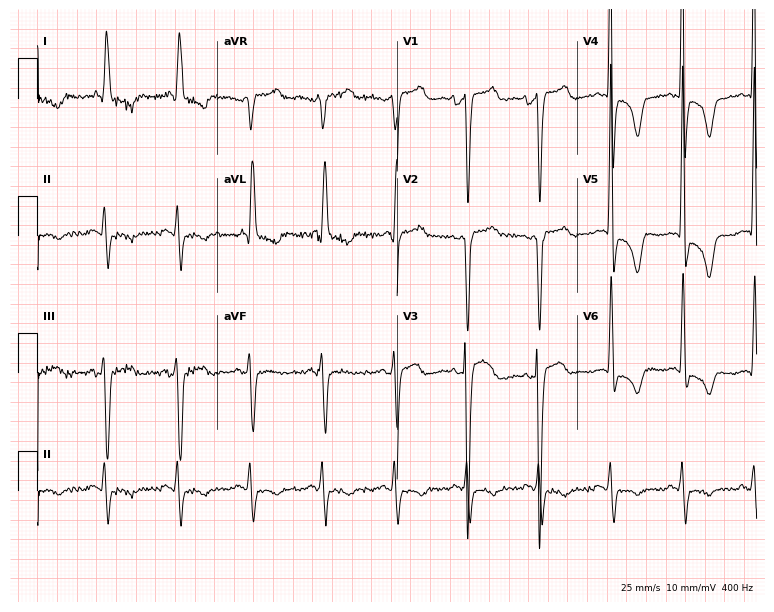
Electrocardiogram (7.3-second recording at 400 Hz), an 83-year-old female patient. Of the six screened findings (first-degree AV block, right bundle branch block, left bundle branch block, sinus bradycardia, atrial fibrillation, sinus tachycardia), none is recorded. Only these six findings were labelled.